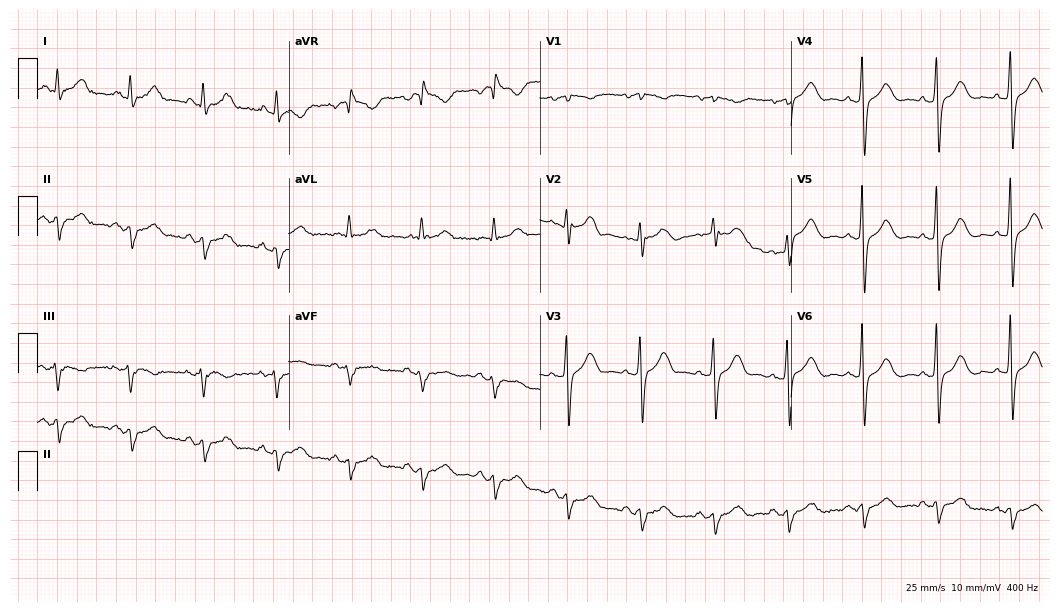
Resting 12-lead electrocardiogram (10.2-second recording at 400 Hz). Patient: a male, 48 years old. None of these six findings is recorded: first-degree AV block, right bundle branch block, left bundle branch block, sinus bradycardia, atrial fibrillation, sinus tachycardia. Findings outside these six are not listed.